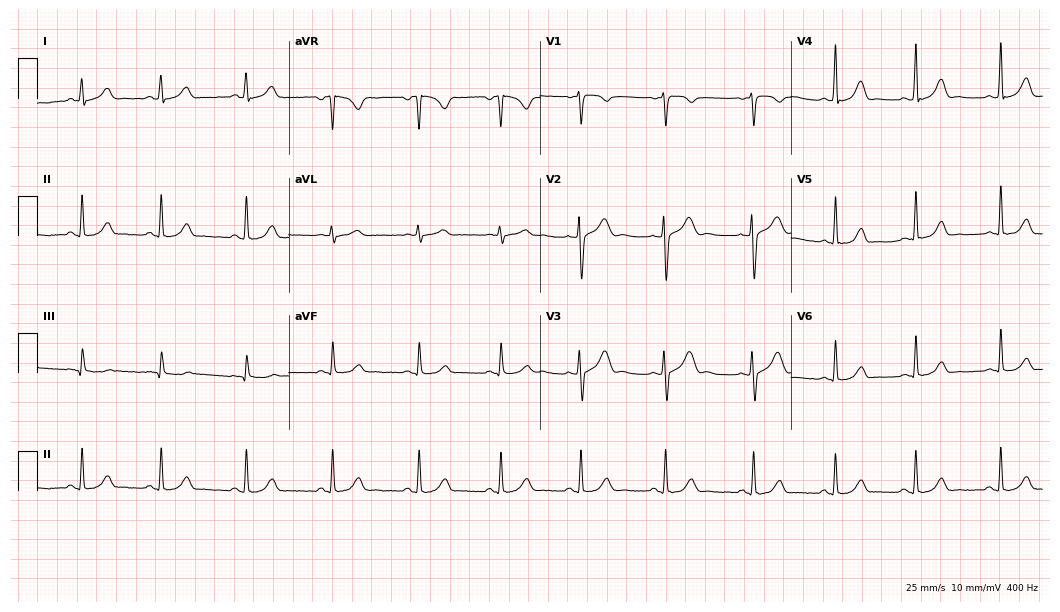
Electrocardiogram (10.2-second recording at 400 Hz), a 25-year-old female patient. Of the six screened findings (first-degree AV block, right bundle branch block (RBBB), left bundle branch block (LBBB), sinus bradycardia, atrial fibrillation (AF), sinus tachycardia), none is recorded. Other findings, if any, are not listed.